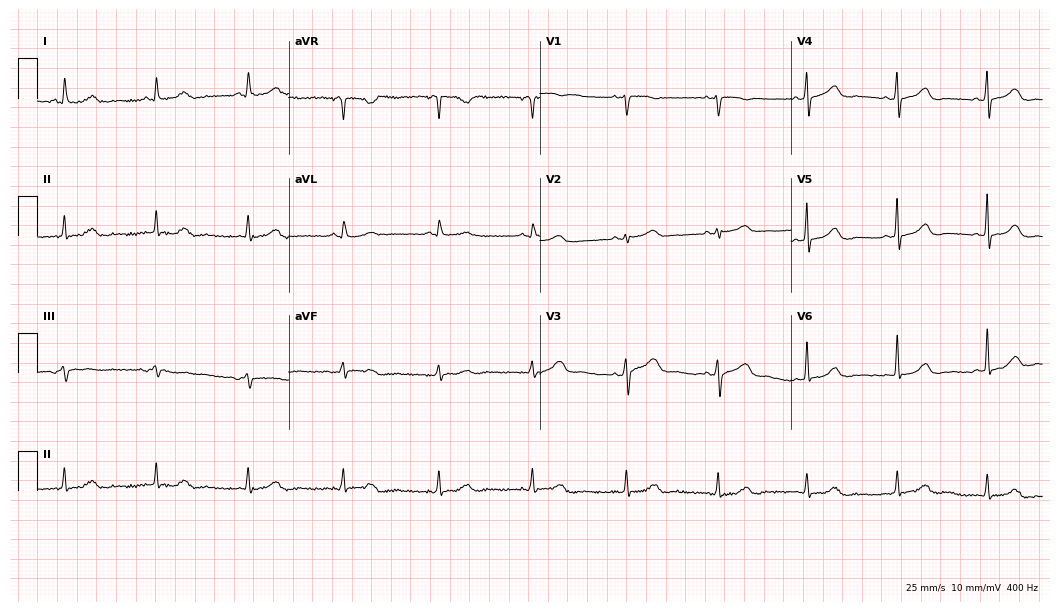
Electrocardiogram, a 57-year-old female. Overall reading on record: normal ECG.